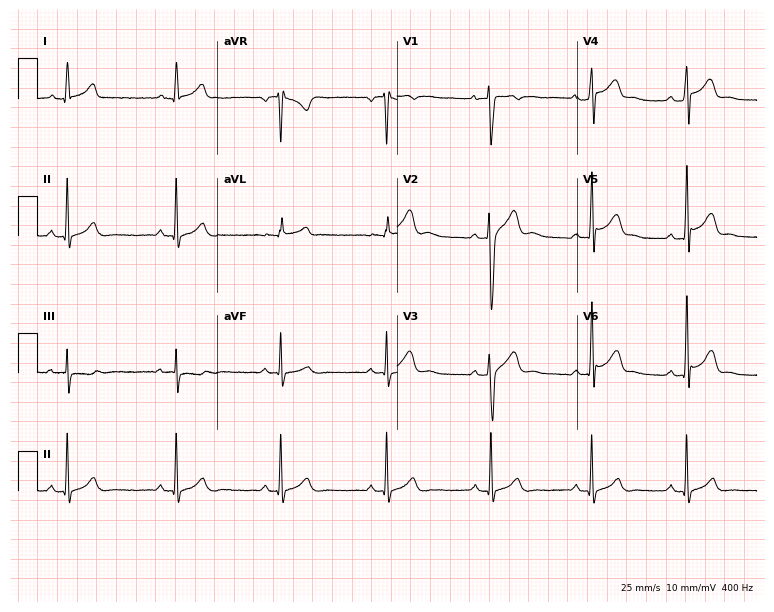
12-lead ECG (7.3-second recording at 400 Hz) from a 25-year-old man. Labelled as a normal ECG.